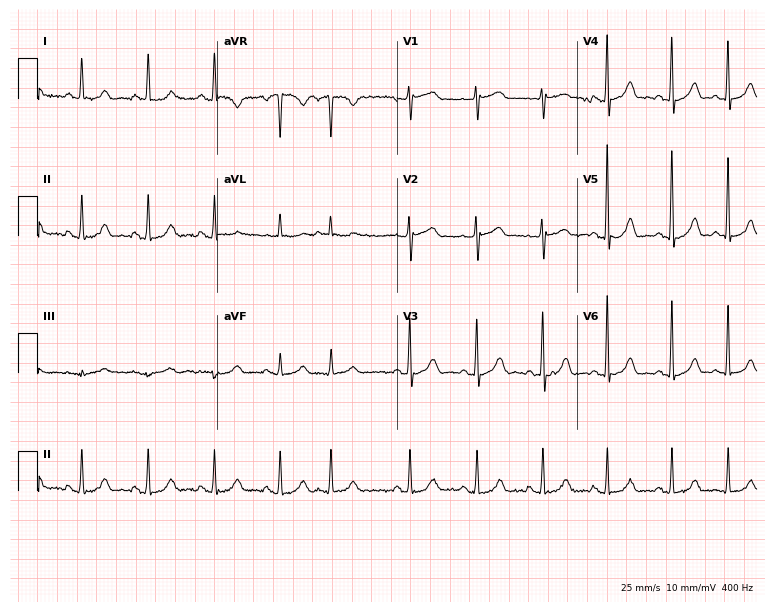
Resting 12-lead electrocardiogram. Patient: an 83-year-old female. None of these six findings is recorded: first-degree AV block, right bundle branch block, left bundle branch block, sinus bradycardia, atrial fibrillation, sinus tachycardia. Other findings, if any, are not listed.